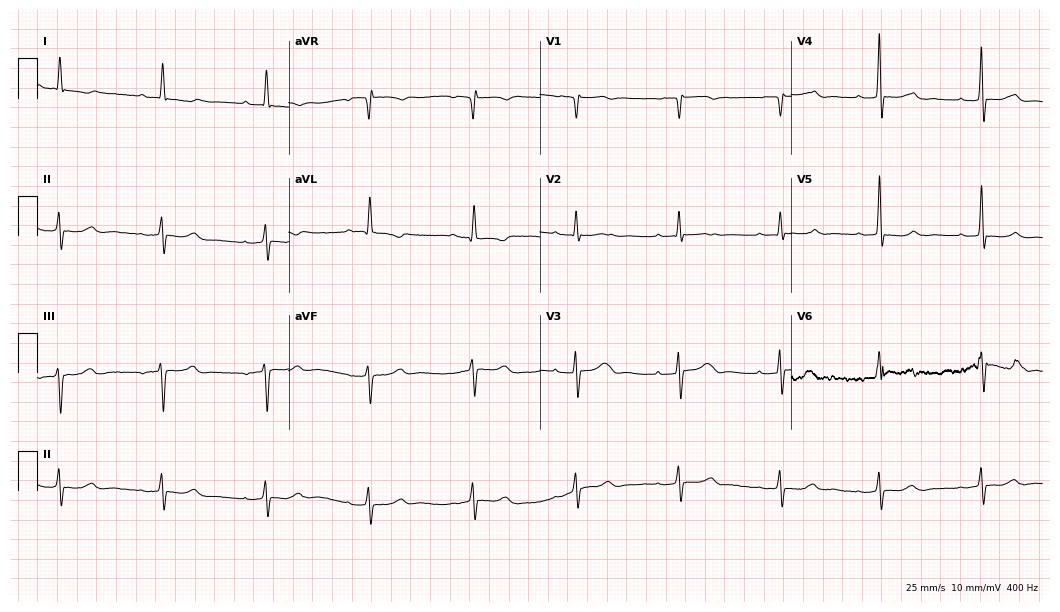
12-lead ECG from a female, 81 years old. Screened for six findings — first-degree AV block, right bundle branch block, left bundle branch block, sinus bradycardia, atrial fibrillation, sinus tachycardia — none is recorded.